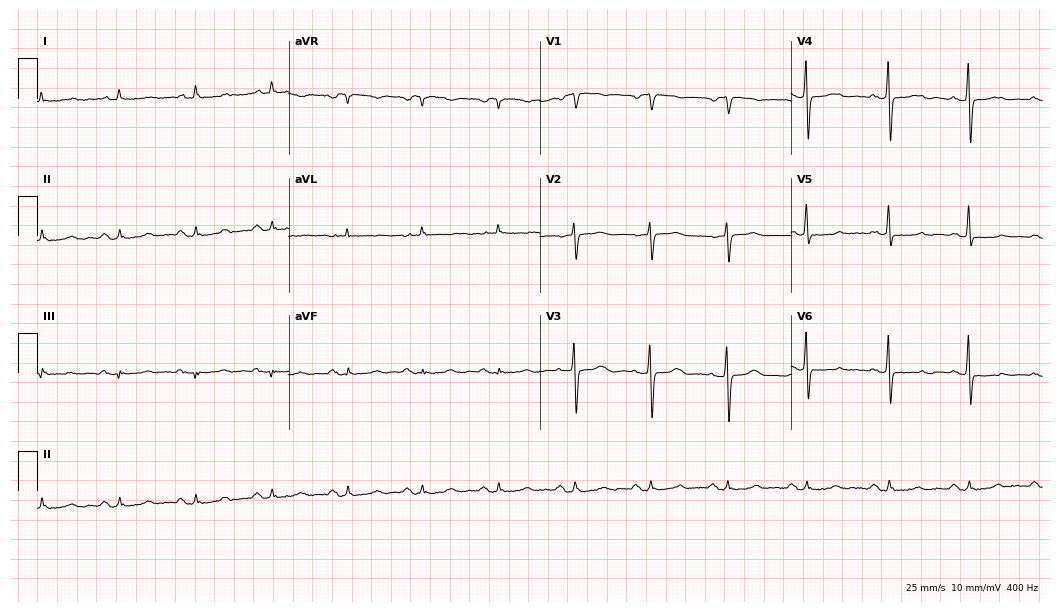
ECG (10.2-second recording at 400 Hz) — a 74-year-old male. Screened for six findings — first-degree AV block, right bundle branch block, left bundle branch block, sinus bradycardia, atrial fibrillation, sinus tachycardia — none is recorded. Other findings, if any, are not listed.